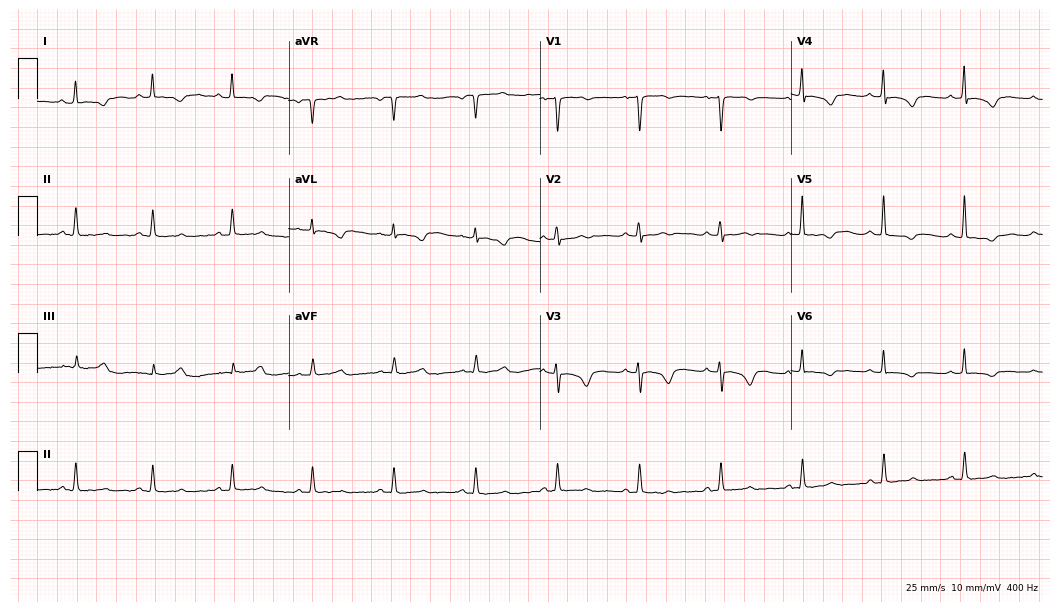
12-lead ECG from a female patient, 72 years old. Labelled as a normal ECG.